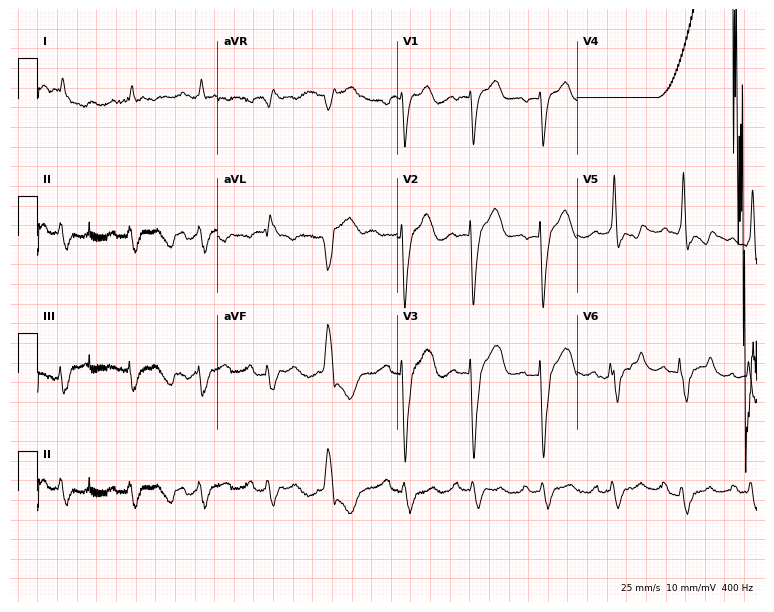
Standard 12-lead ECG recorded from an 82-year-old male. None of these six findings is recorded: first-degree AV block, right bundle branch block, left bundle branch block, sinus bradycardia, atrial fibrillation, sinus tachycardia.